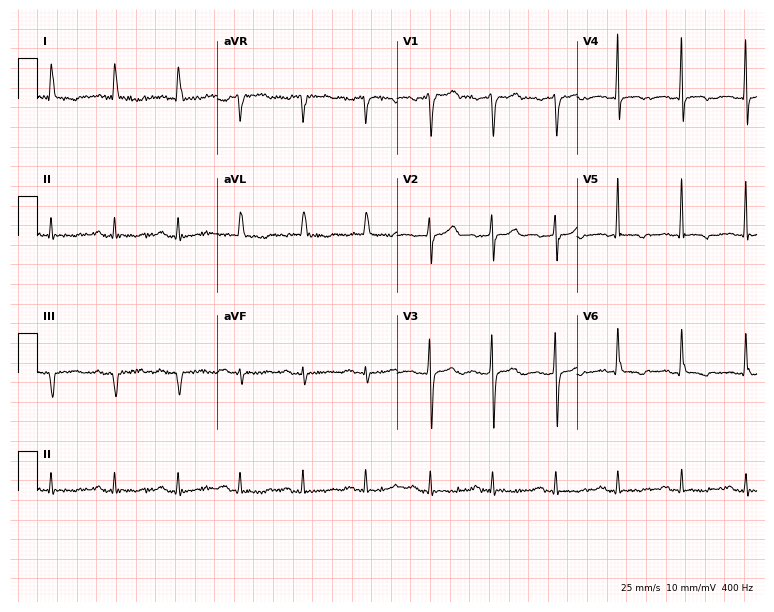
ECG (7.3-second recording at 400 Hz) — a male, 82 years old. Screened for six findings — first-degree AV block, right bundle branch block, left bundle branch block, sinus bradycardia, atrial fibrillation, sinus tachycardia — none is recorded. Findings outside these six are not listed.